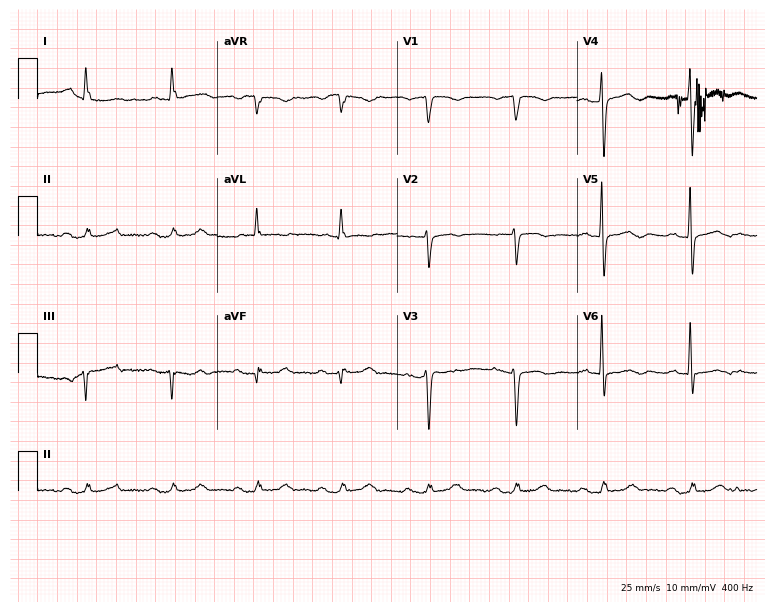
Standard 12-lead ECG recorded from a female patient, 68 years old (7.3-second recording at 400 Hz). None of these six findings is recorded: first-degree AV block, right bundle branch block, left bundle branch block, sinus bradycardia, atrial fibrillation, sinus tachycardia.